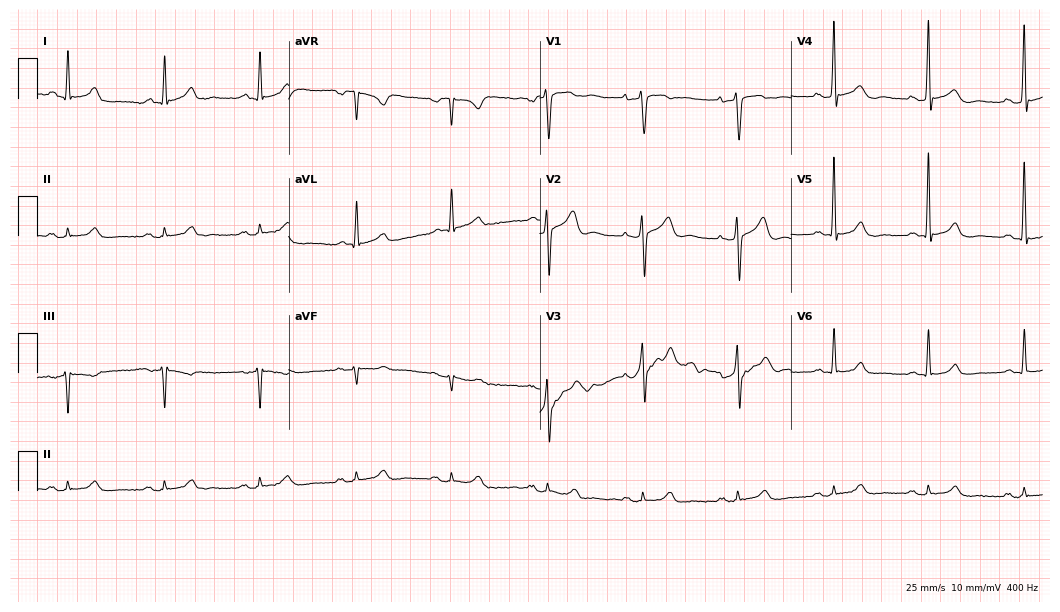
12-lead ECG from a 71-year-old male patient (10.2-second recording at 400 Hz). No first-degree AV block, right bundle branch block, left bundle branch block, sinus bradycardia, atrial fibrillation or sinus tachycardia recorded for this tracing. Only these six findings were labelled.